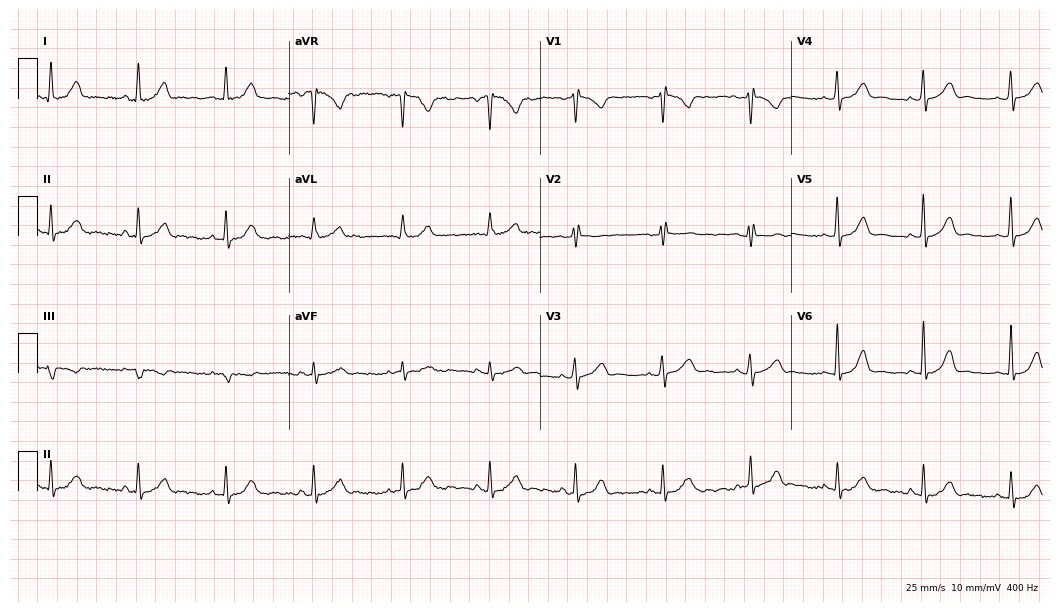
Electrocardiogram (10.2-second recording at 400 Hz), a woman, 43 years old. Of the six screened findings (first-degree AV block, right bundle branch block (RBBB), left bundle branch block (LBBB), sinus bradycardia, atrial fibrillation (AF), sinus tachycardia), none is recorded.